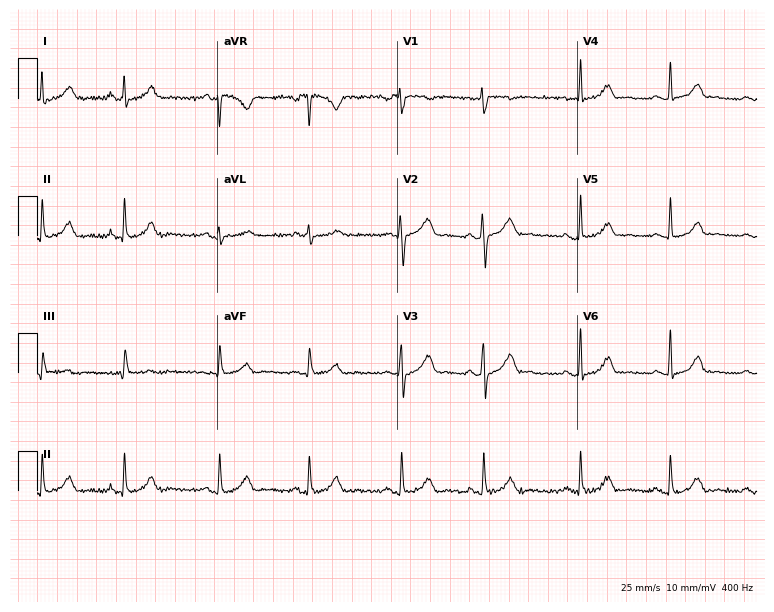
Electrocardiogram (7.3-second recording at 400 Hz), a 43-year-old female patient. Of the six screened findings (first-degree AV block, right bundle branch block, left bundle branch block, sinus bradycardia, atrial fibrillation, sinus tachycardia), none is recorded.